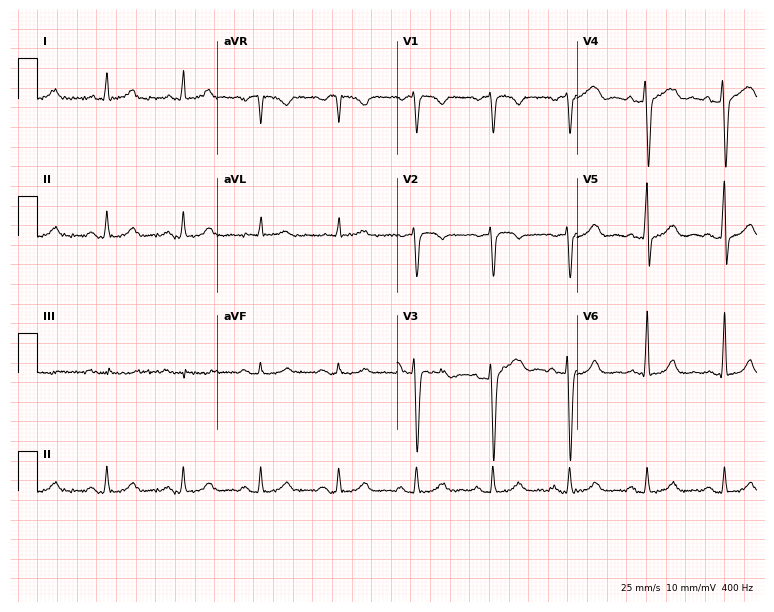
ECG (7.3-second recording at 400 Hz) — a man, 57 years old. Labelled as a normal ECG.